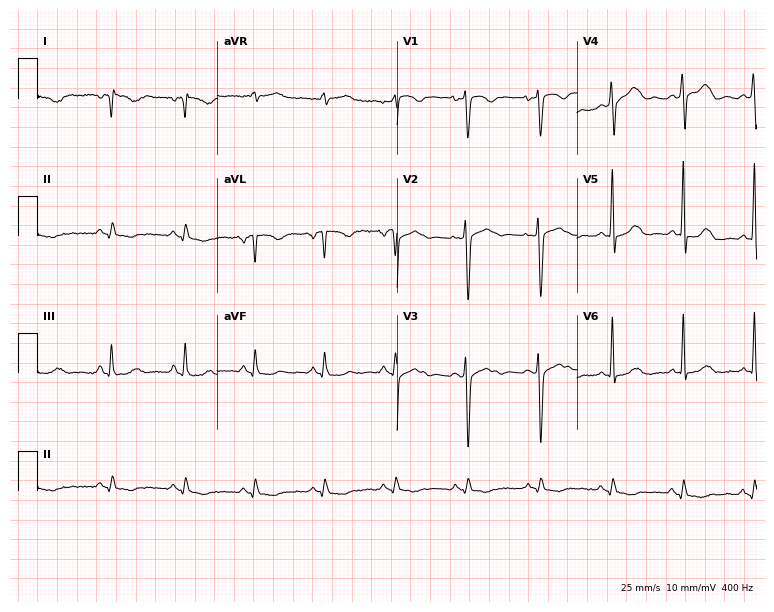
Standard 12-lead ECG recorded from a female, 56 years old. None of these six findings is recorded: first-degree AV block, right bundle branch block, left bundle branch block, sinus bradycardia, atrial fibrillation, sinus tachycardia.